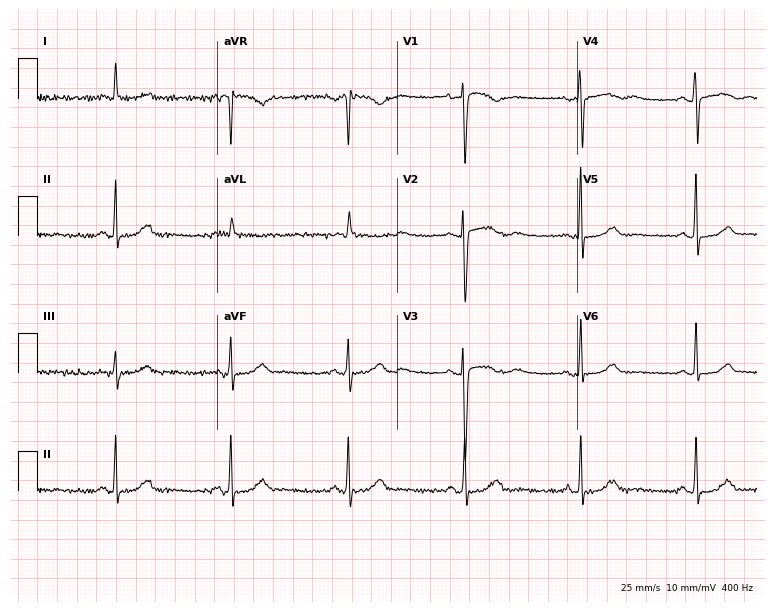
Resting 12-lead electrocardiogram (7.3-second recording at 400 Hz). Patient: a 65-year-old female. The tracing shows sinus bradycardia (a sinus rate of 50 beats per minute or less).